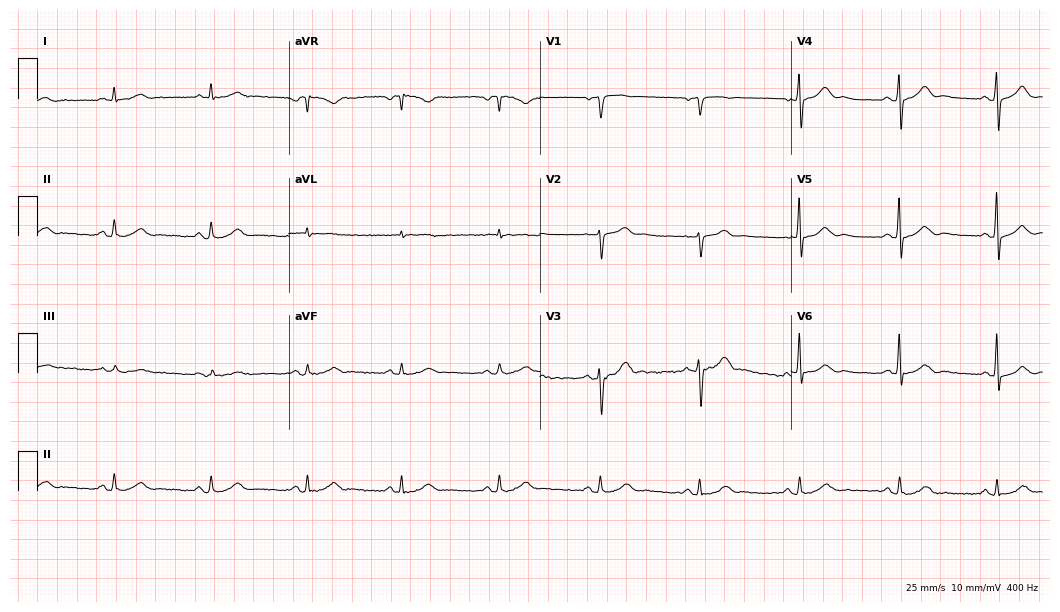
ECG — a 72-year-old male. Labelled as a normal ECG.